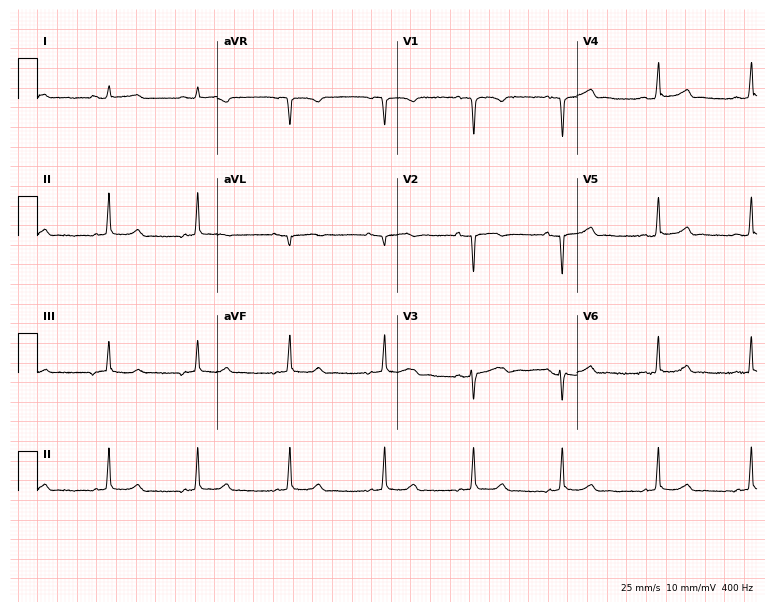
Resting 12-lead electrocardiogram (7.3-second recording at 400 Hz). Patient: a 21-year-old female. None of these six findings is recorded: first-degree AV block, right bundle branch block, left bundle branch block, sinus bradycardia, atrial fibrillation, sinus tachycardia. Other findings, if any, are not listed.